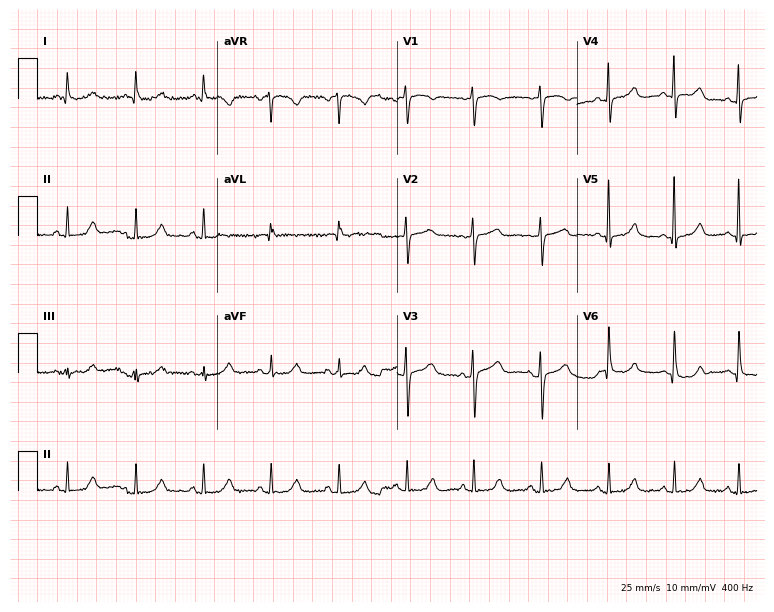
Resting 12-lead electrocardiogram. Patient: a 66-year-old female. None of these six findings is recorded: first-degree AV block, right bundle branch block (RBBB), left bundle branch block (LBBB), sinus bradycardia, atrial fibrillation (AF), sinus tachycardia.